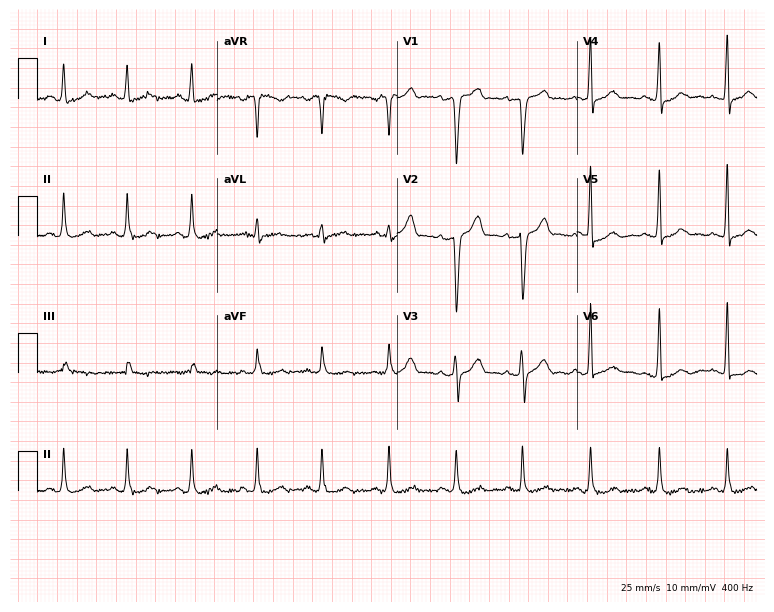
Standard 12-lead ECG recorded from a 42-year-old male. None of these six findings is recorded: first-degree AV block, right bundle branch block (RBBB), left bundle branch block (LBBB), sinus bradycardia, atrial fibrillation (AF), sinus tachycardia.